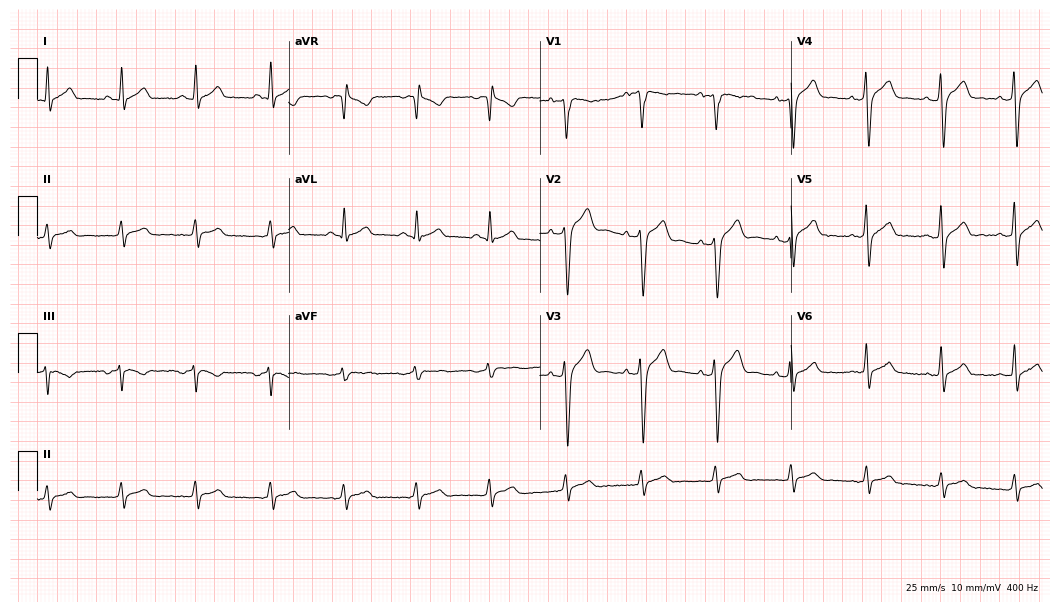
Electrocardiogram (10.2-second recording at 400 Hz), a male patient, 37 years old. Overall reading on record: normal ECG.